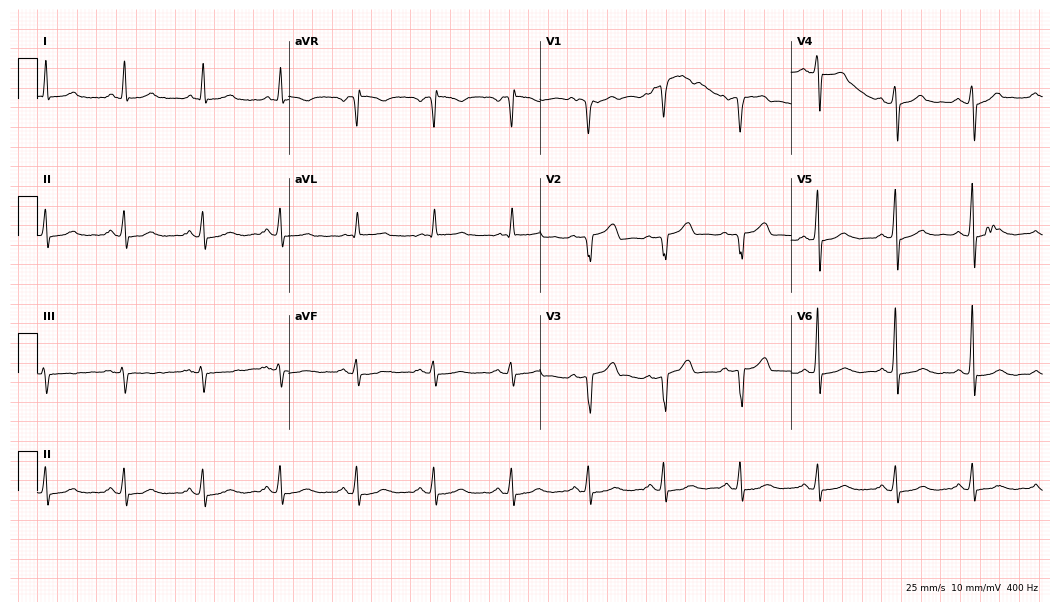
Electrocardiogram, a 74-year-old male patient. Of the six screened findings (first-degree AV block, right bundle branch block, left bundle branch block, sinus bradycardia, atrial fibrillation, sinus tachycardia), none is recorded. Findings outside these six are not listed.